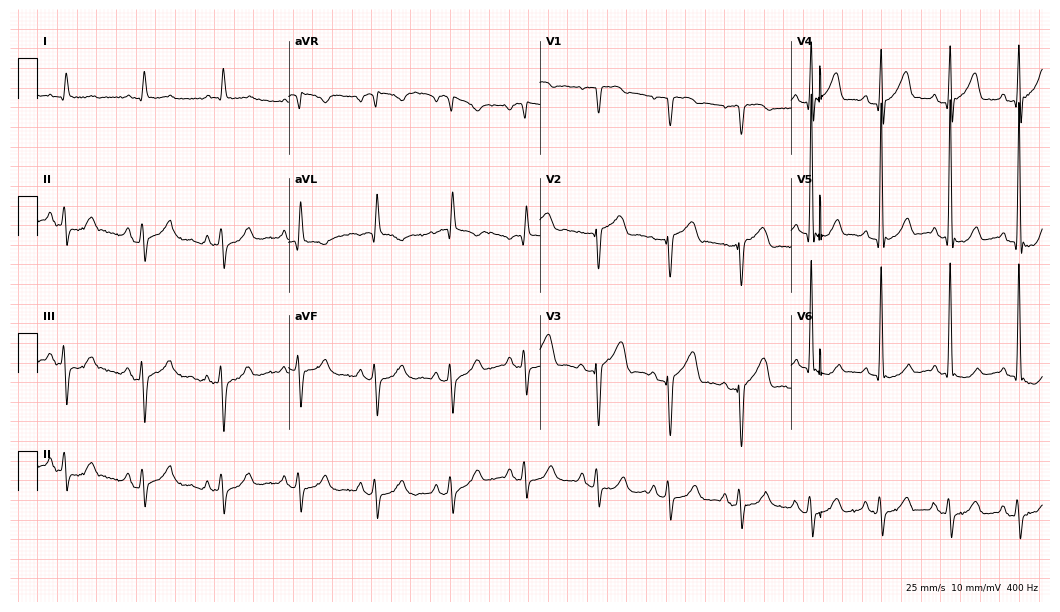
Electrocardiogram (10.2-second recording at 400 Hz), a 67-year-old male patient. Of the six screened findings (first-degree AV block, right bundle branch block, left bundle branch block, sinus bradycardia, atrial fibrillation, sinus tachycardia), none is recorded. Other findings, if any, are not listed.